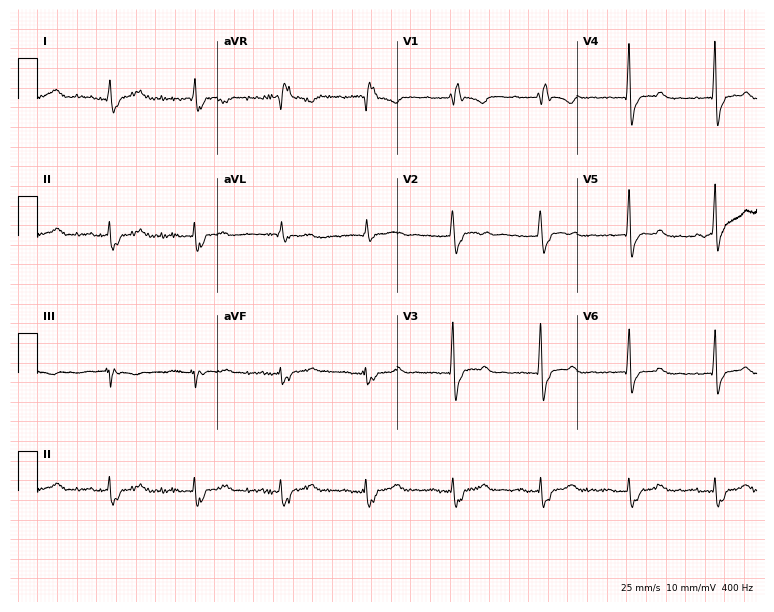
Electrocardiogram (7.3-second recording at 400 Hz), a 40-year-old woman. Interpretation includes first-degree AV block, right bundle branch block.